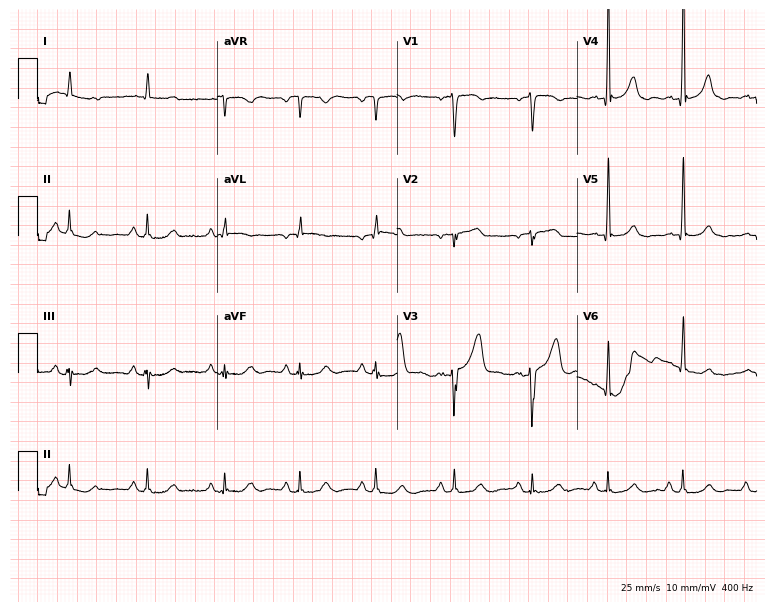
Standard 12-lead ECG recorded from a 78-year-old man. None of these six findings is recorded: first-degree AV block, right bundle branch block (RBBB), left bundle branch block (LBBB), sinus bradycardia, atrial fibrillation (AF), sinus tachycardia.